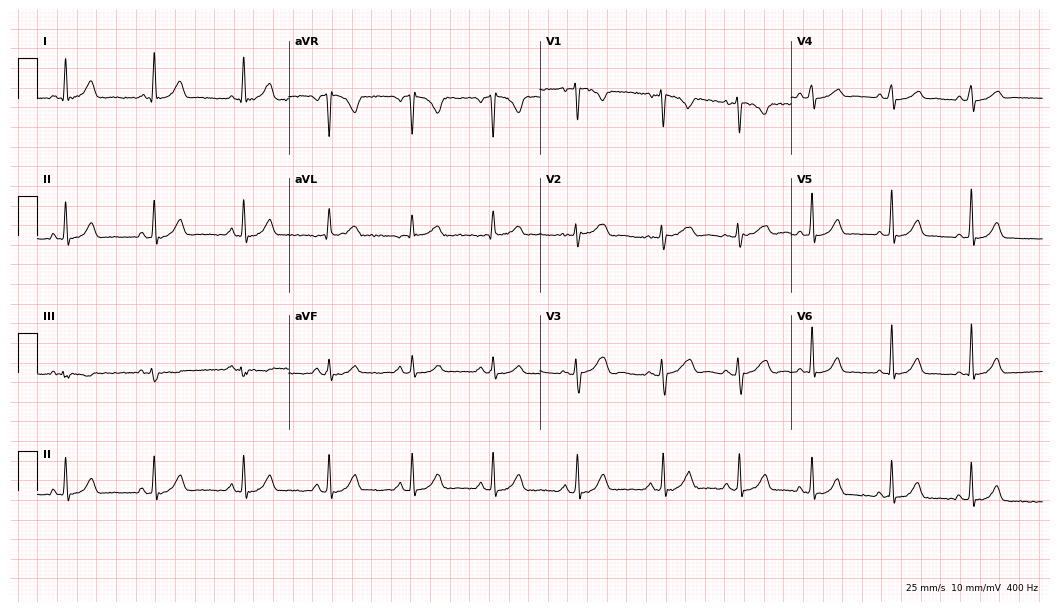
ECG (10.2-second recording at 400 Hz) — a 34-year-old female patient. Labelled as a normal ECG.